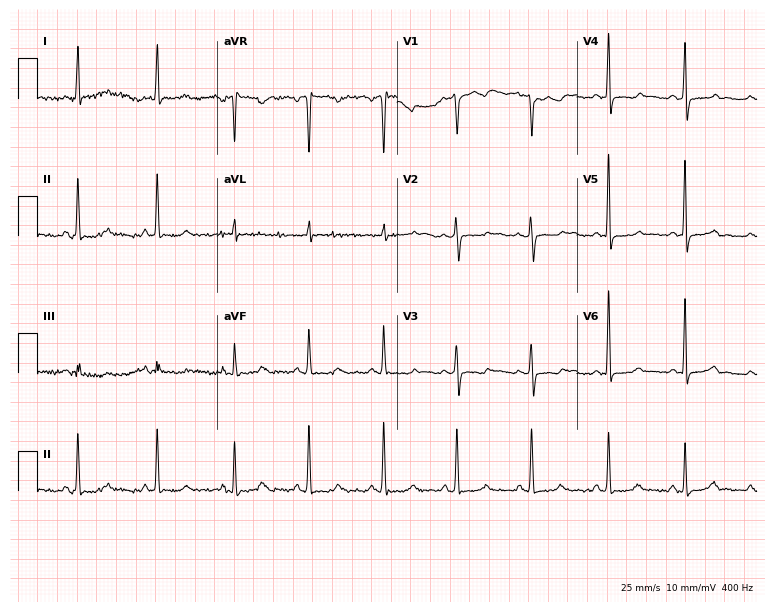
Resting 12-lead electrocardiogram. Patient: a 38-year-old female. Read as a normal ECG.